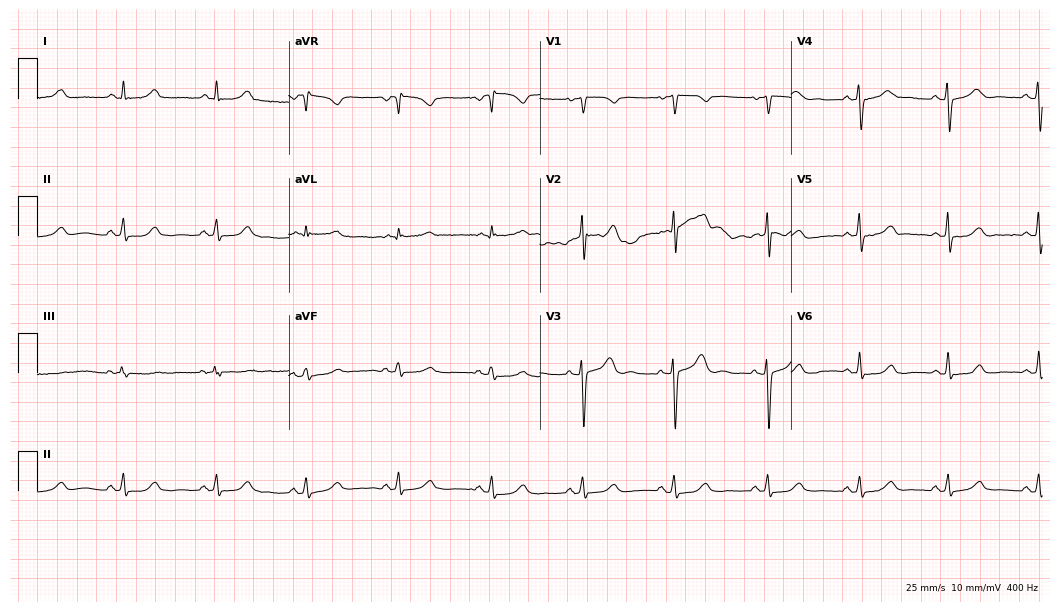
ECG (10.2-second recording at 400 Hz) — a woman, 44 years old. Labelled as a normal ECG.